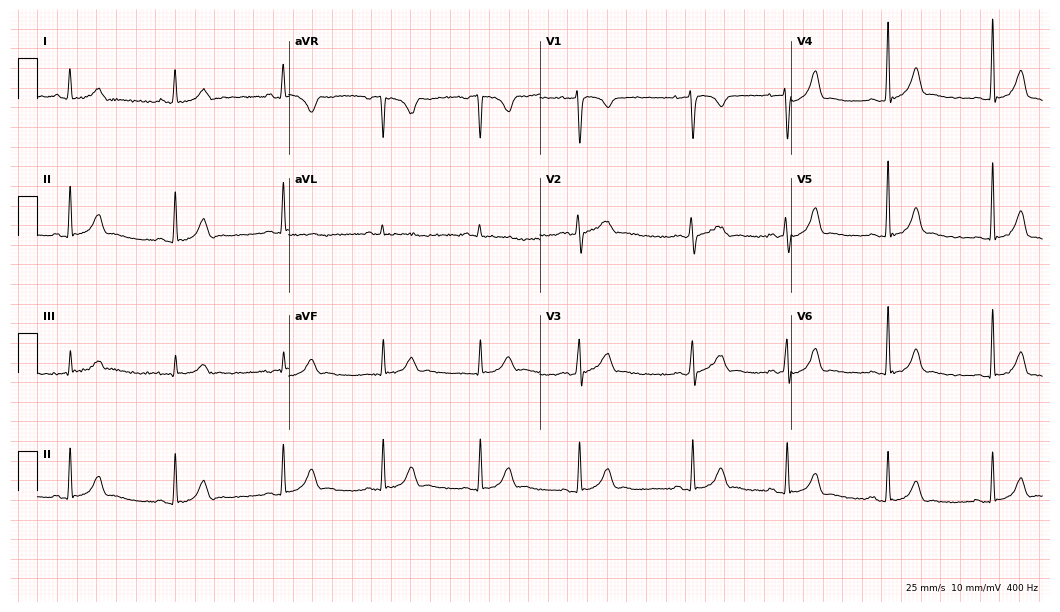
Electrocardiogram (10.2-second recording at 400 Hz), a woman, 20 years old. Overall reading on record: normal ECG.